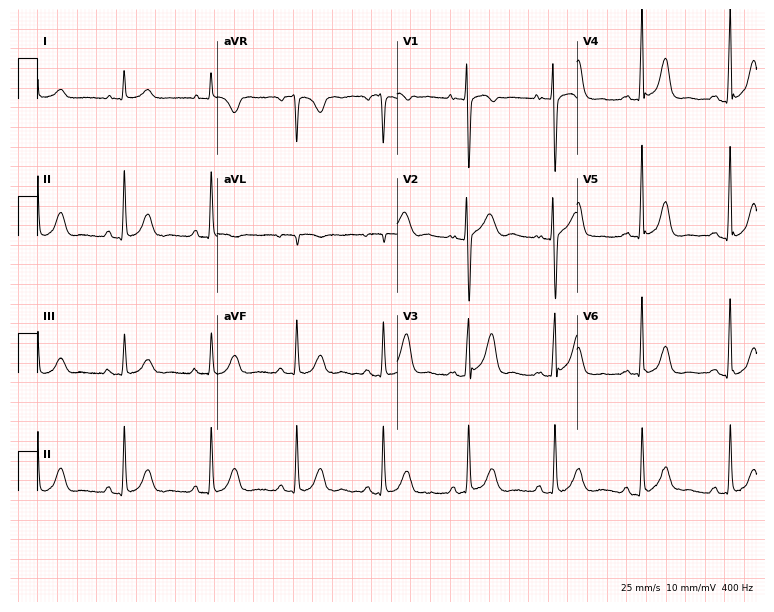
12-lead ECG from a 68-year-old female. No first-degree AV block, right bundle branch block (RBBB), left bundle branch block (LBBB), sinus bradycardia, atrial fibrillation (AF) or sinus tachycardia recorded for this tracing. Only these six findings were labelled.